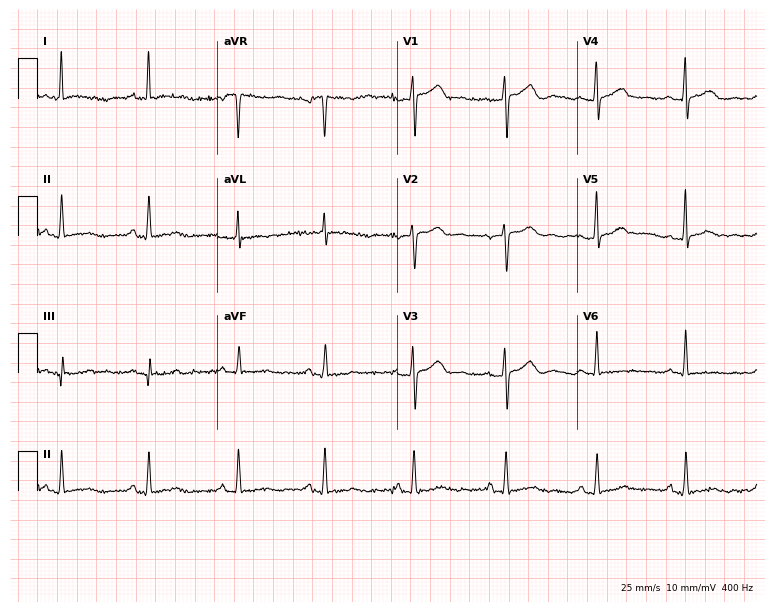
12-lead ECG from a 53-year-old female. Screened for six findings — first-degree AV block, right bundle branch block, left bundle branch block, sinus bradycardia, atrial fibrillation, sinus tachycardia — none is recorded.